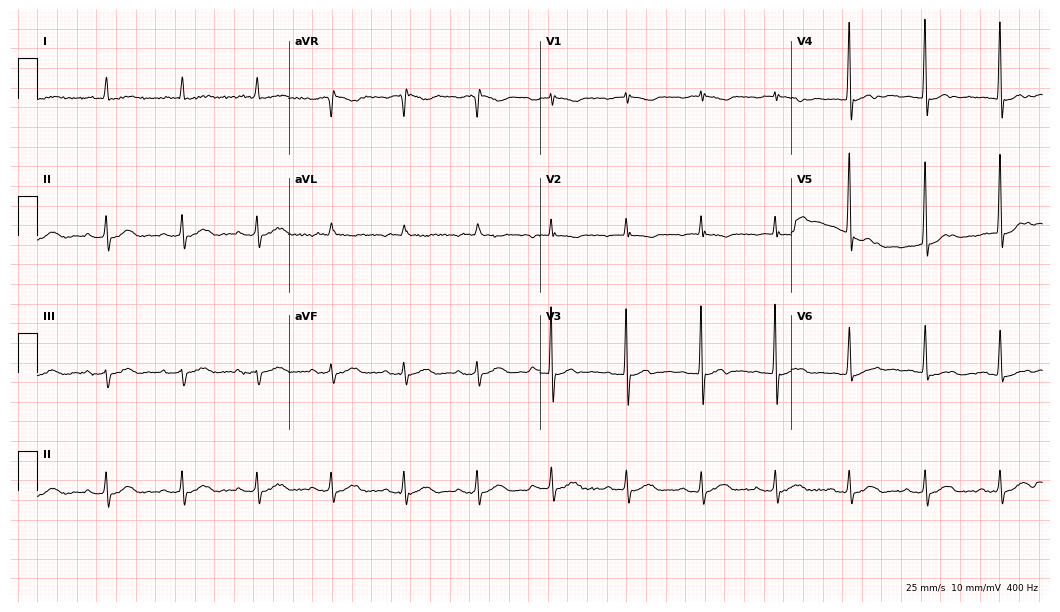
Standard 12-lead ECG recorded from a female, 83 years old (10.2-second recording at 400 Hz). None of these six findings is recorded: first-degree AV block, right bundle branch block (RBBB), left bundle branch block (LBBB), sinus bradycardia, atrial fibrillation (AF), sinus tachycardia.